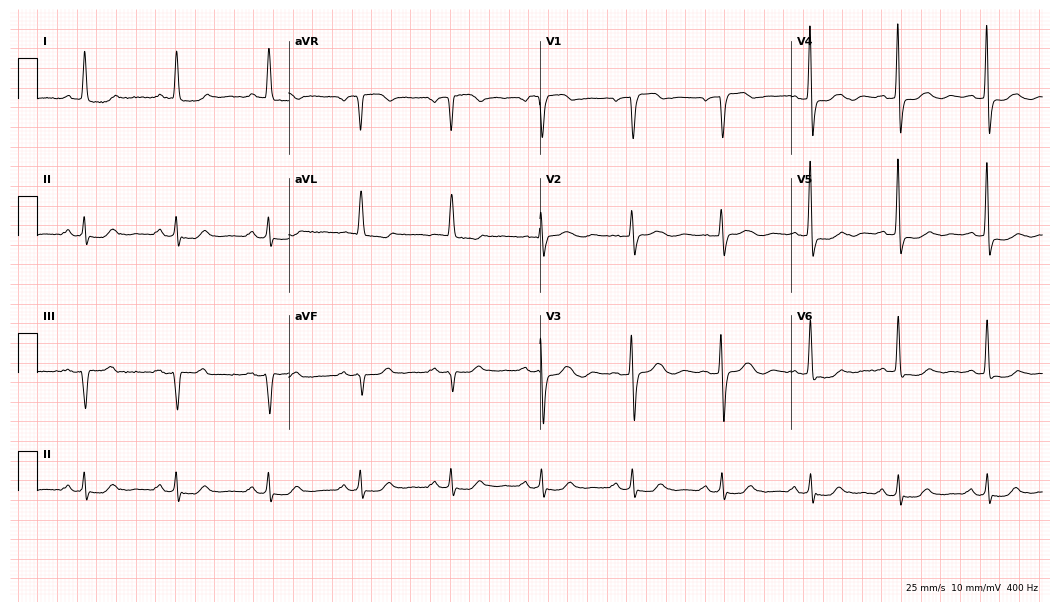
Electrocardiogram (10.2-second recording at 400 Hz), a woman, 80 years old. Of the six screened findings (first-degree AV block, right bundle branch block, left bundle branch block, sinus bradycardia, atrial fibrillation, sinus tachycardia), none is recorded. Only these six findings were labelled.